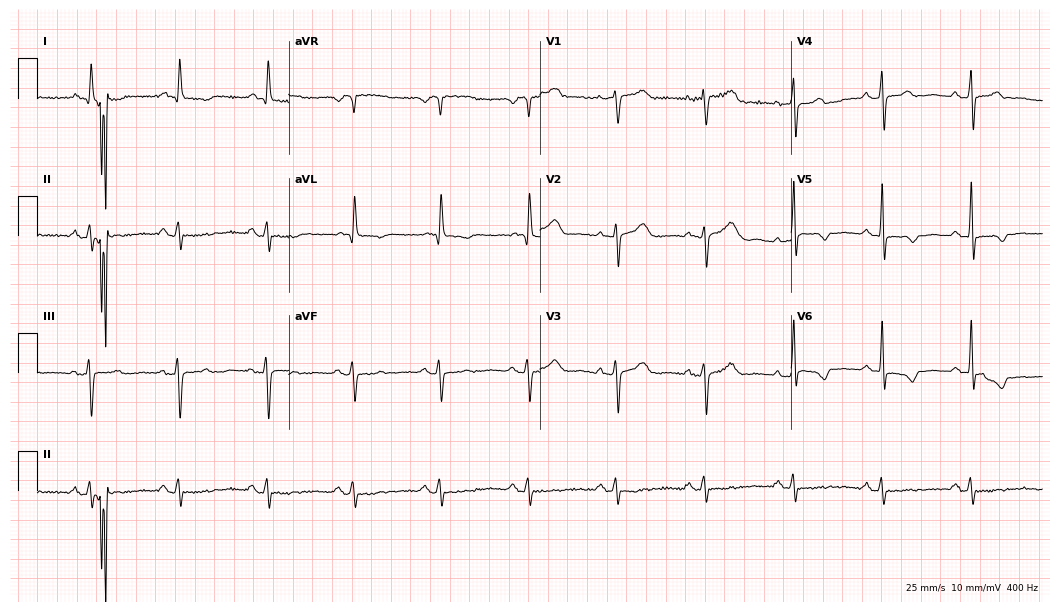
Standard 12-lead ECG recorded from a 69-year-old female patient (10.2-second recording at 400 Hz). None of these six findings is recorded: first-degree AV block, right bundle branch block (RBBB), left bundle branch block (LBBB), sinus bradycardia, atrial fibrillation (AF), sinus tachycardia. Only these six findings were labelled.